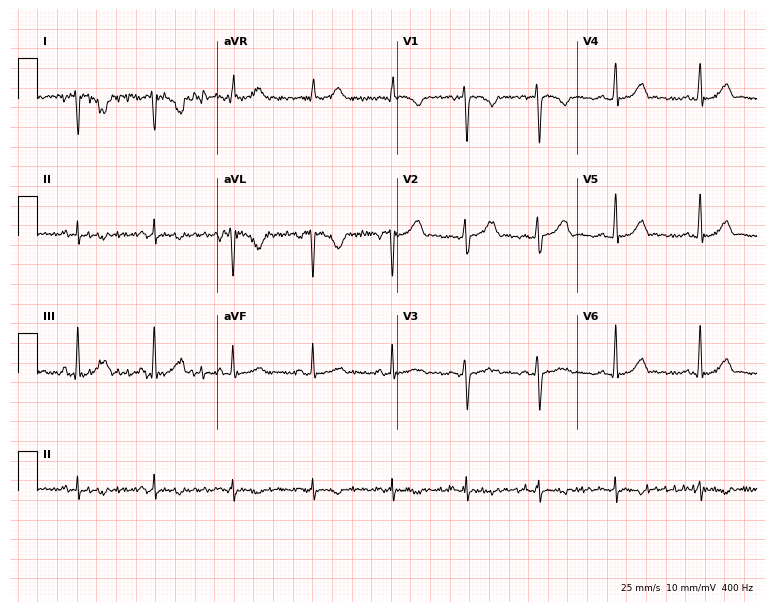
12-lead ECG (7.3-second recording at 400 Hz) from a woman, 33 years old. Screened for six findings — first-degree AV block, right bundle branch block, left bundle branch block, sinus bradycardia, atrial fibrillation, sinus tachycardia — none is recorded. Other findings, if any, are not listed.